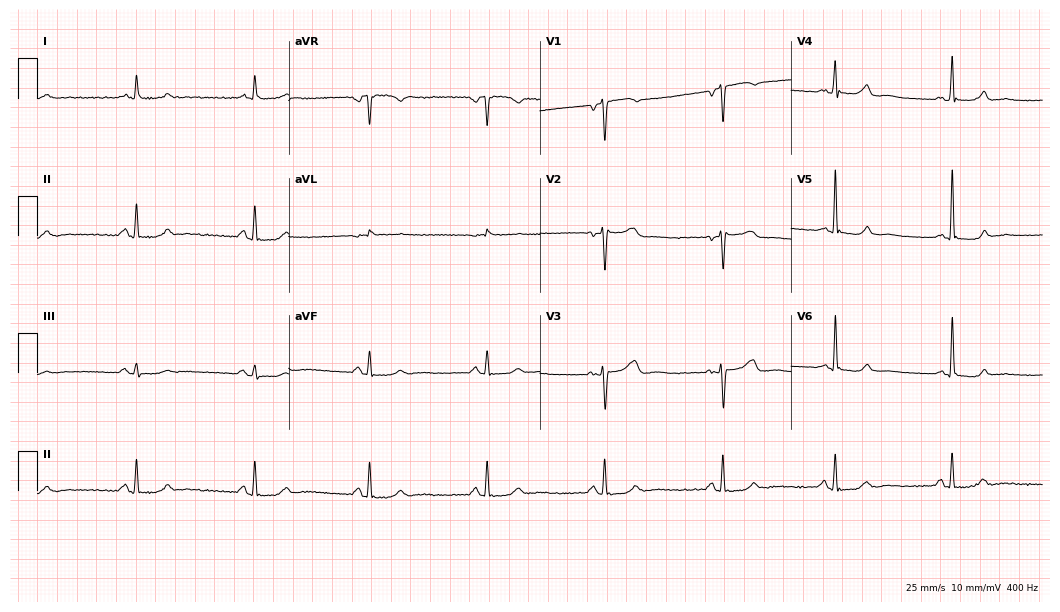
ECG — a 49-year-old woman. Labelled as a normal ECG.